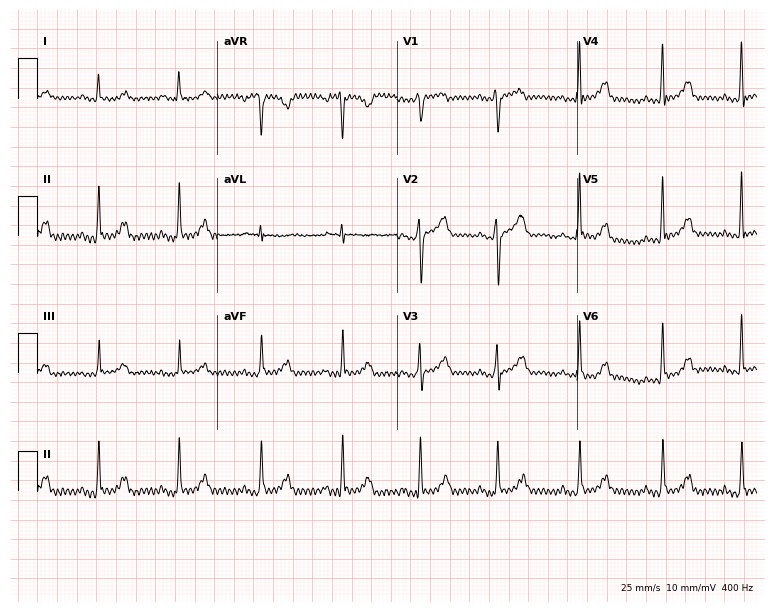
Electrocardiogram (7.3-second recording at 400 Hz), a 52-year-old female patient. Of the six screened findings (first-degree AV block, right bundle branch block, left bundle branch block, sinus bradycardia, atrial fibrillation, sinus tachycardia), none is recorded. Findings outside these six are not listed.